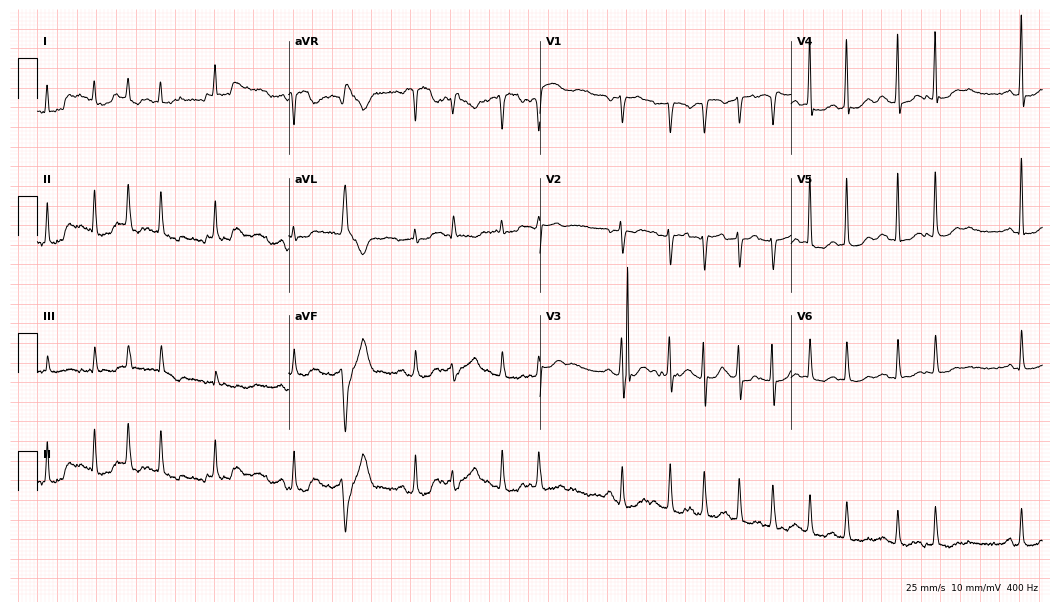
Standard 12-lead ECG recorded from a female patient, 69 years old. None of these six findings is recorded: first-degree AV block, right bundle branch block (RBBB), left bundle branch block (LBBB), sinus bradycardia, atrial fibrillation (AF), sinus tachycardia.